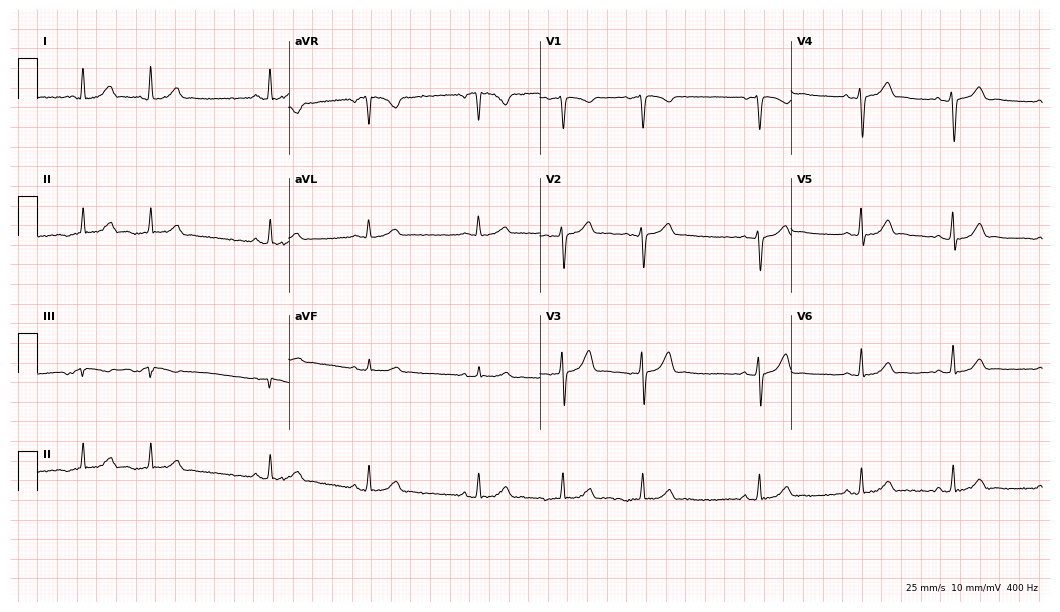
12-lead ECG (10.2-second recording at 400 Hz) from a woman, 32 years old. Screened for six findings — first-degree AV block, right bundle branch block, left bundle branch block, sinus bradycardia, atrial fibrillation, sinus tachycardia — none is recorded.